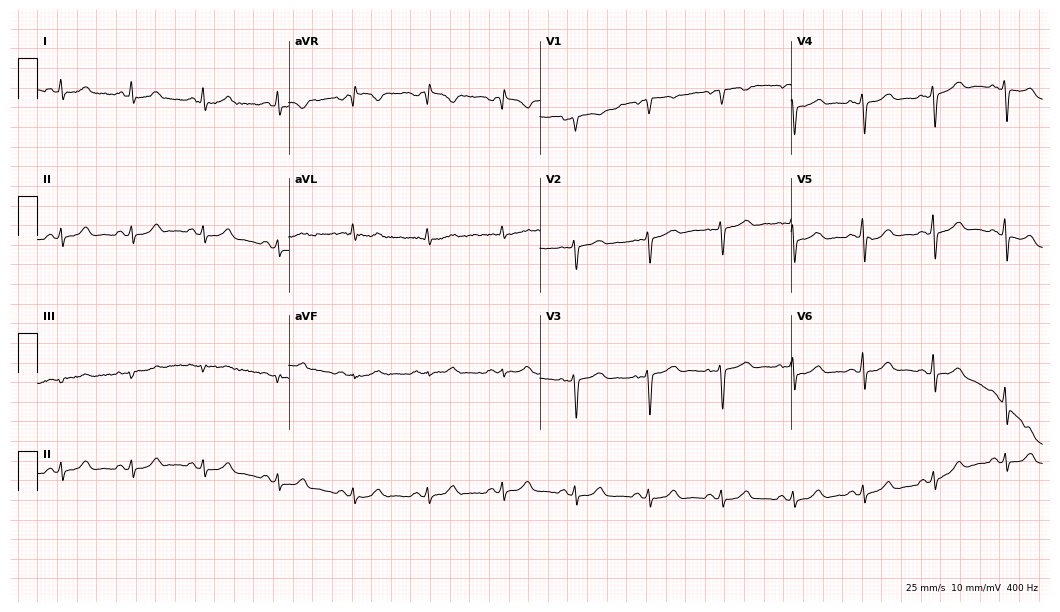
12-lead ECG (10.2-second recording at 400 Hz) from a 44-year-old female. Screened for six findings — first-degree AV block, right bundle branch block (RBBB), left bundle branch block (LBBB), sinus bradycardia, atrial fibrillation (AF), sinus tachycardia — none is recorded. Only these six findings were labelled.